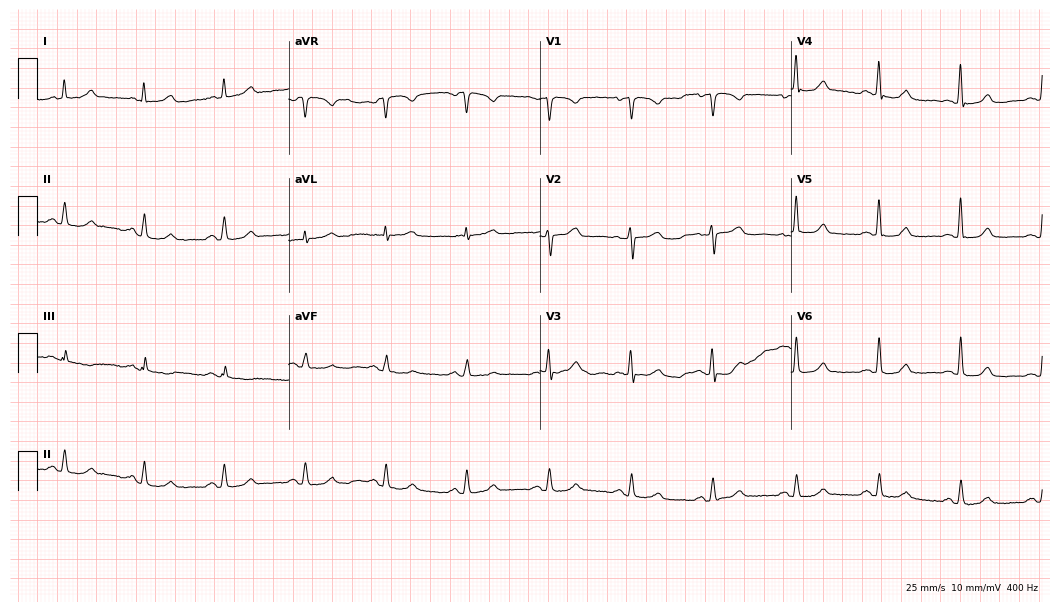
Electrocardiogram, a 48-year-old female patient. Overall reading on record: normal ECG.